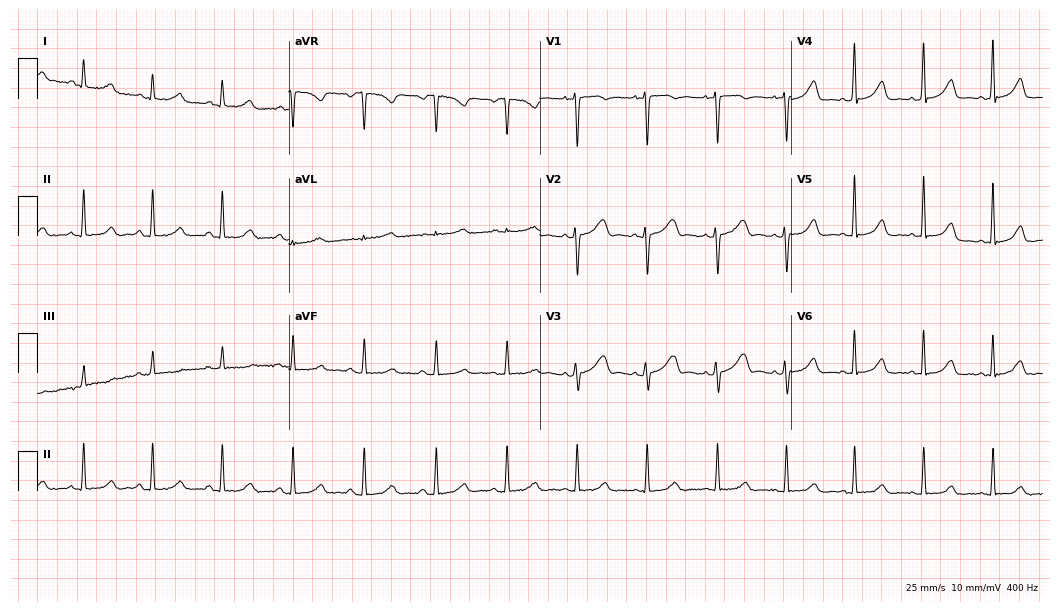
ECG (10.2-second recording at 400 Hz) — a female, 36 years old. Labelled as a normal ECG.